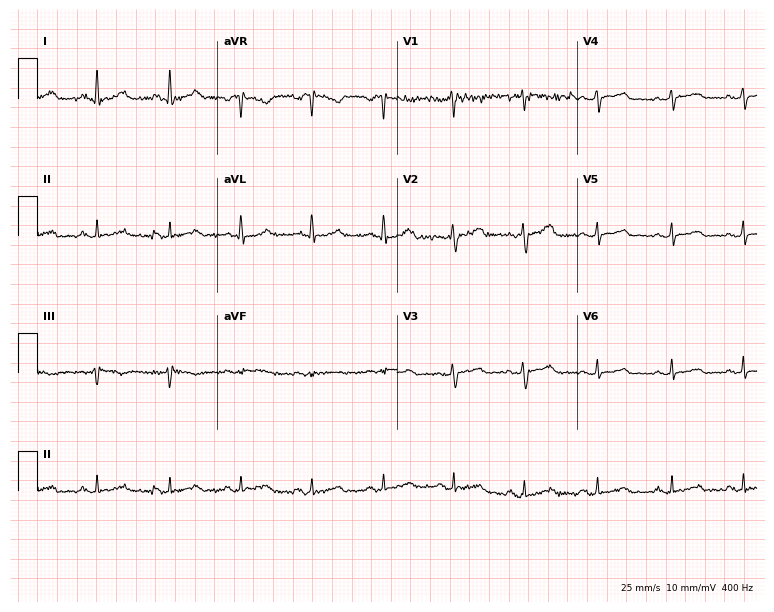
Standard 12-lead ECG recorded from a 51-year-old woman. Read as a normal ECG.